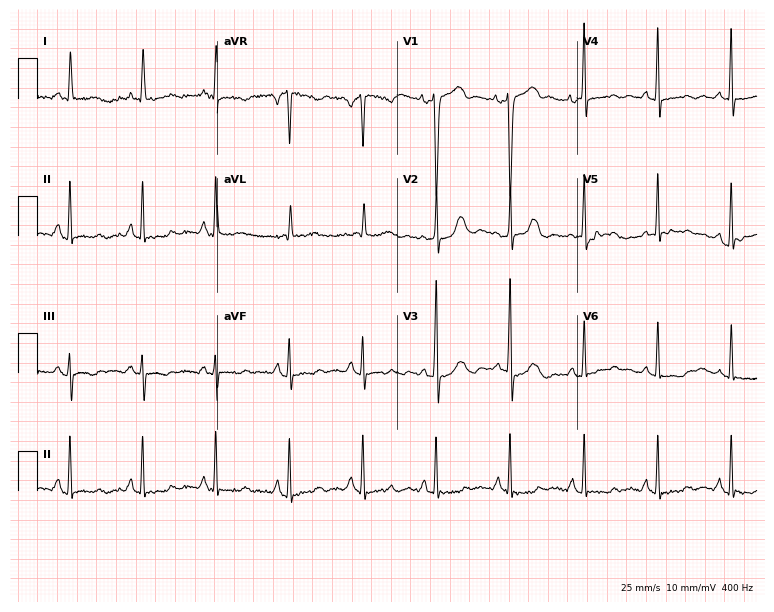
12-lead ECG from a 78-year-old female patient. Screened for six findings — first-degree AV block, right bundle branch block (RBBB), left bundle branch block (LBBB), sinus bradycardia, atrial fibrillation (AF), sinus tachycardia — none is recorded.